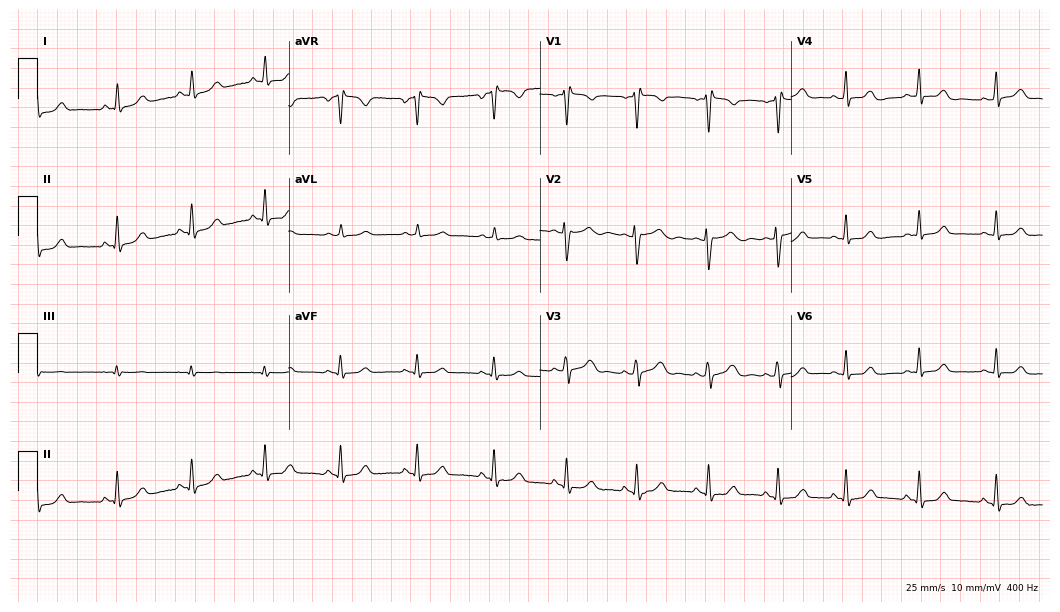
Resting 12-lead electrocardiogram. Patient: a female, 28 years old. Read as a normal ECG.